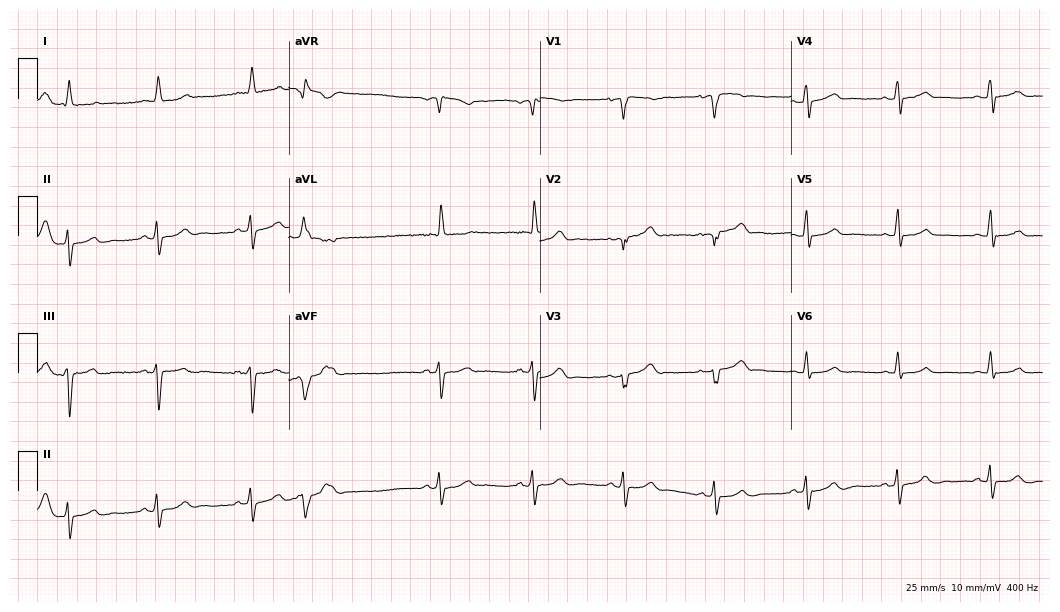
12-lead ECG from a 55-year-old female. No first-degree AV block, right bundle branch block (RBBB), left bundle branch block (LBBB), sinus bradycardia, atrial fibrillation (AF) or sinus tachycardia recorded for this tracing.